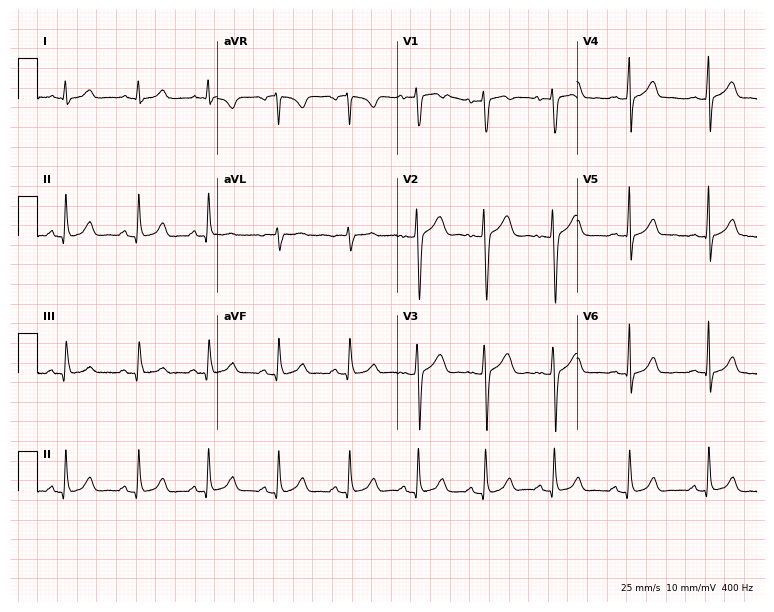
Electrocardiogram, a woman, 22 years old. Of the six screened findings (first-degree AV block, right bundle branch block, left bundle branch block, sinus bradycardia, atrial fibrillation, sinus tachycardia), none is recorded.